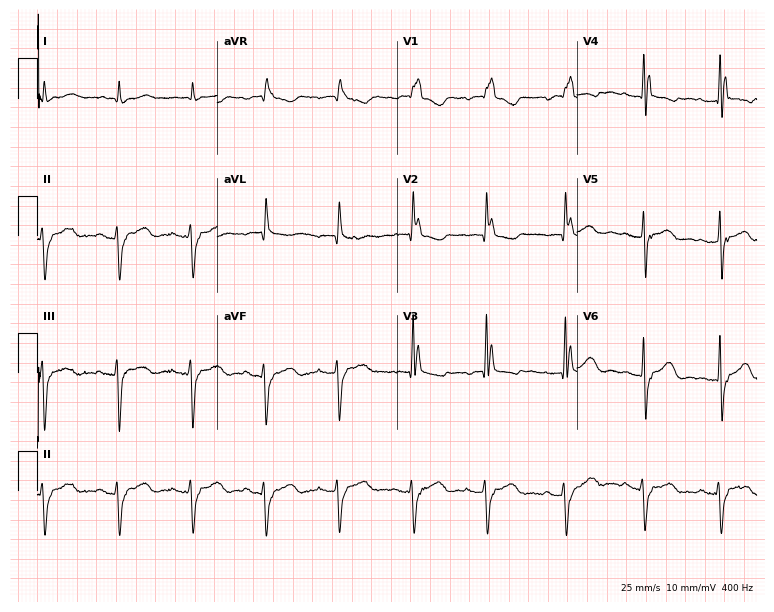
ECG — an 80-year-old woman. Findings include right bundle branch block.